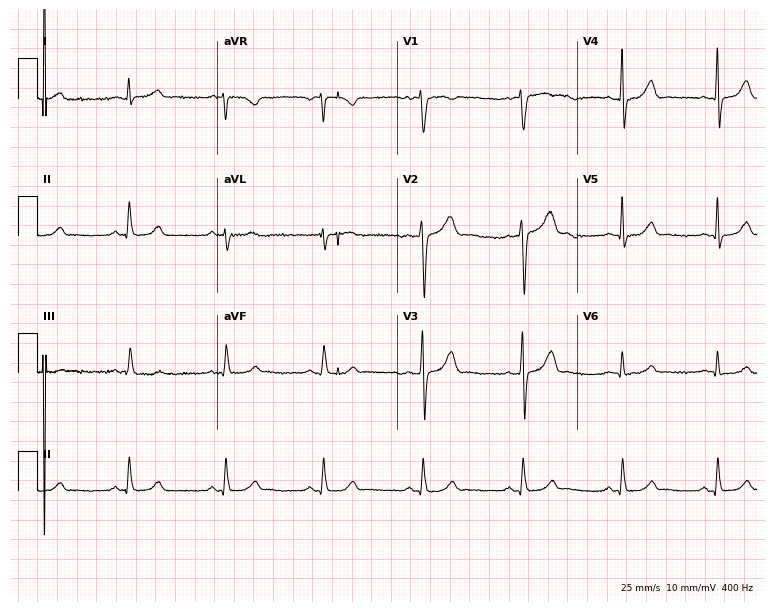
12-lead ECG from a 44-year-old female. Recorded interpretation: within normal limits.